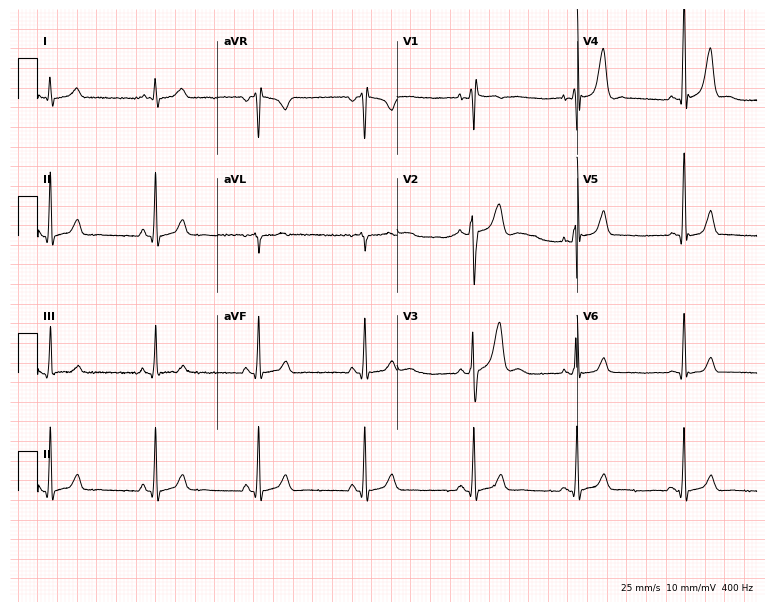
Standard 12-lead ECG recorded from a male, 27 years old (7.3-second recording at 400 Hz). None of these six findings is recorded: first-degree AV block, right bundle branch block (RBBB), left bundle branch block (LBBB), sinus bradycardia, atrial fibrillation (AF), sinus tachycardia.